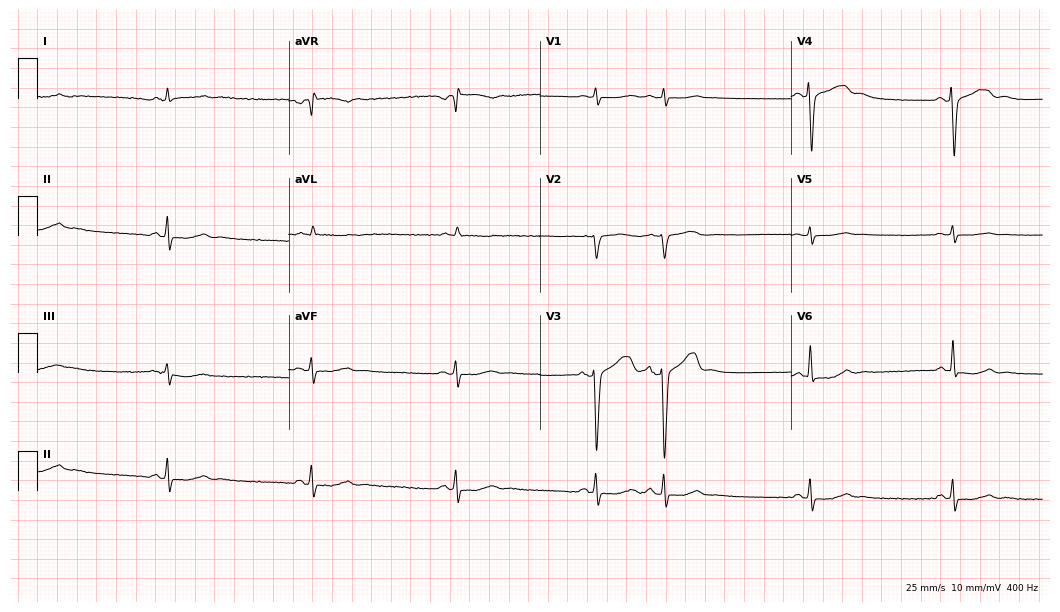
Electrocardiogram (10.2-second recording at 400 Hz), a male patient, 74 years old. Of the six screened findings (first-degree AV block, right bundle branch block, left bundle branch block, sinus bradycardia, atrial fibrillation, sinus tachycardia), none is recorded. Other findings, if any, are not listed.